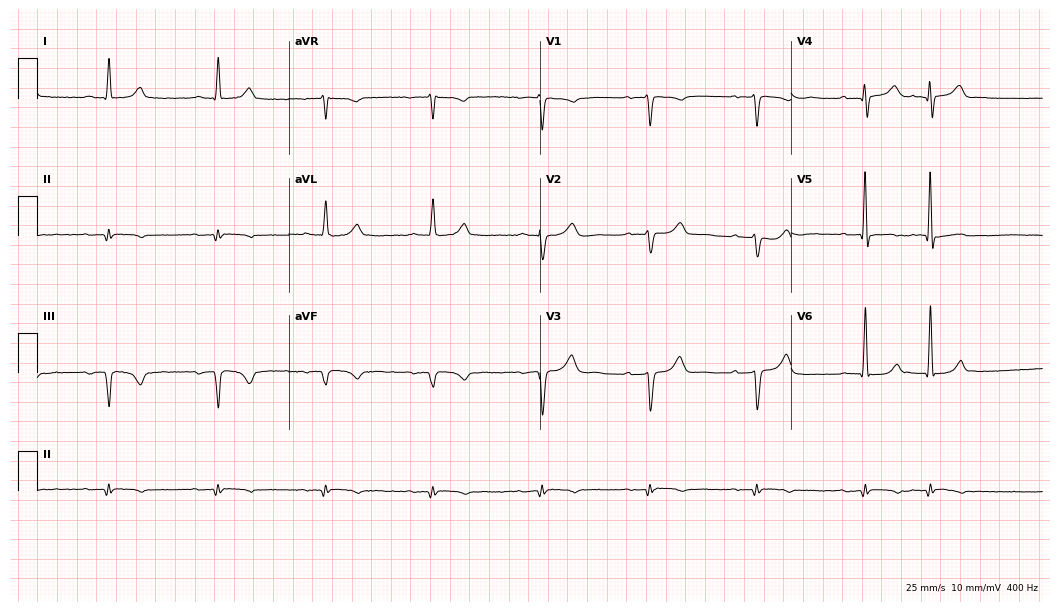
Resting 12-lead electrocardiogram (10.2-second recording at 400 Hz). Patient: a 77-year-old man. None of these six findings is recorded: first-degree AV block, right bundle branch block, left bundle branch block, sinus bradycardia, atrial fibrillation, sinus tachycardia. Other findings, if any, are not listed.